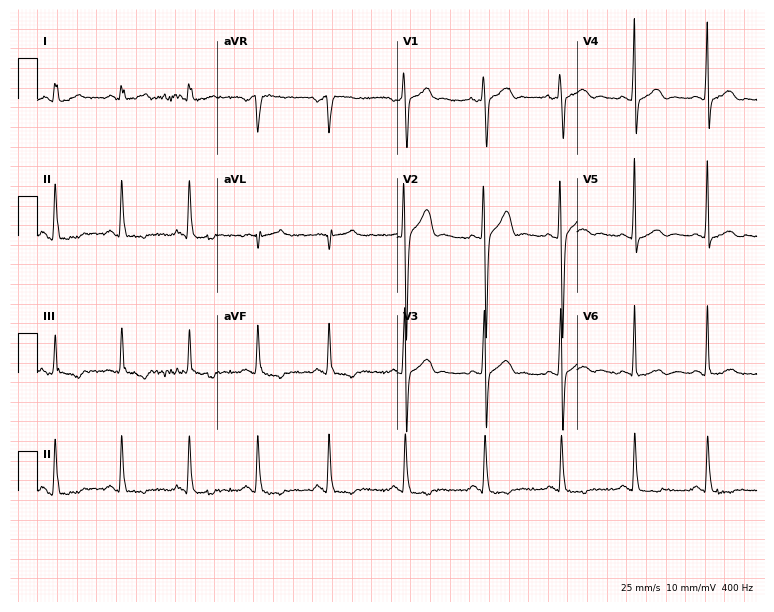
12-lead ECG from a 23-year-old male (7.3-second recording at 400 Hz). No first-degree AV block, right bundle branch block (RBBB), left bundle branch block (LBBB), sinus bradycardia, atrial fibrillation (AF) or sinus tachycardia recorded for this tracing. Only these six findings were labelled.